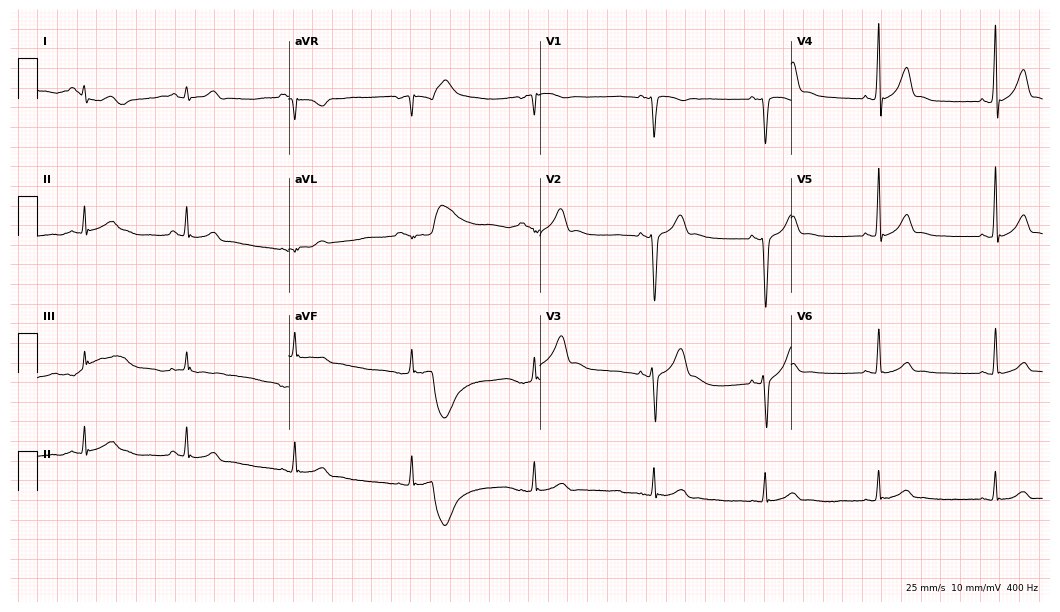
Electrocardiogram, a 29-year-old male patient. Overall reading on record: normal ECG.